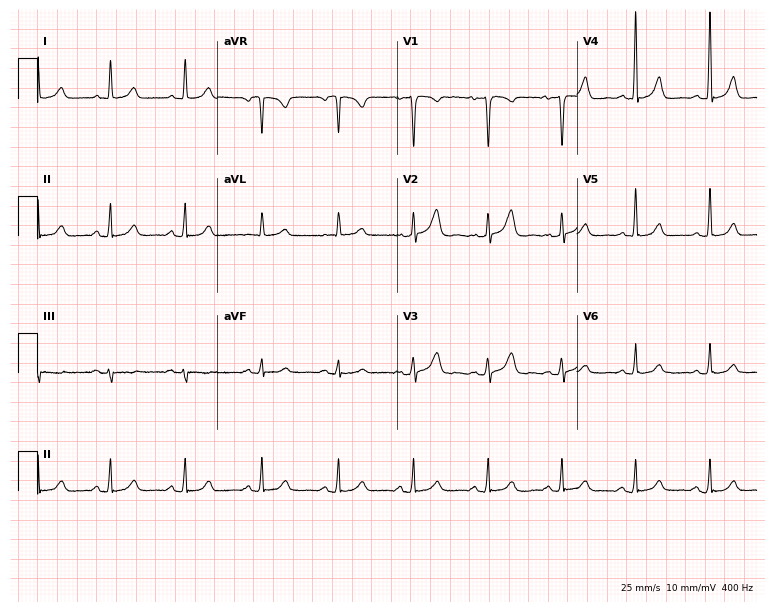
ECG — a woman, 39 years old. Labelled as a normal ECG.